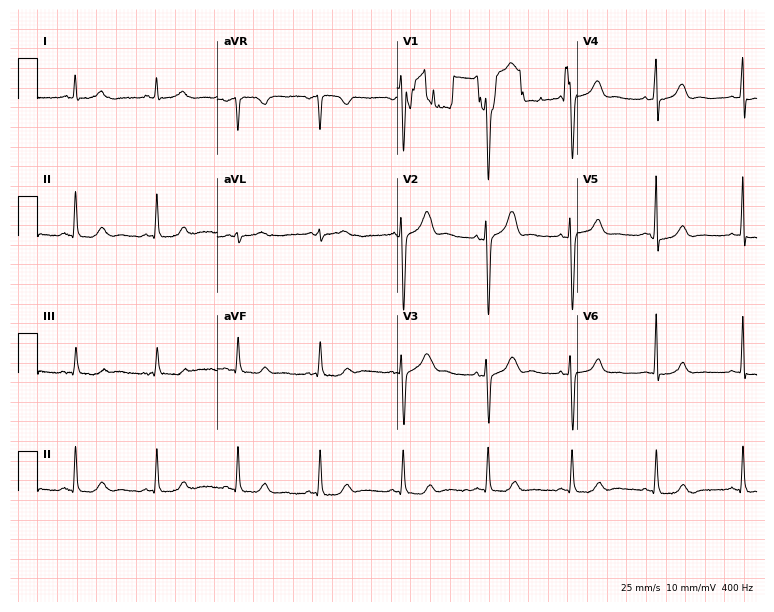
Resting 12-lead electrocardiogram (7.3-second recording at 400 Hz). Patient: a 34-year-old female. None of these six findings is recorded: first-degree AV block, right bundle branch block (RBBB), left bundle branch block (LBBB), sinus bradycardia, atrial fibrillation (AF), sinus tachycardia. Findings outside these six are not listed.